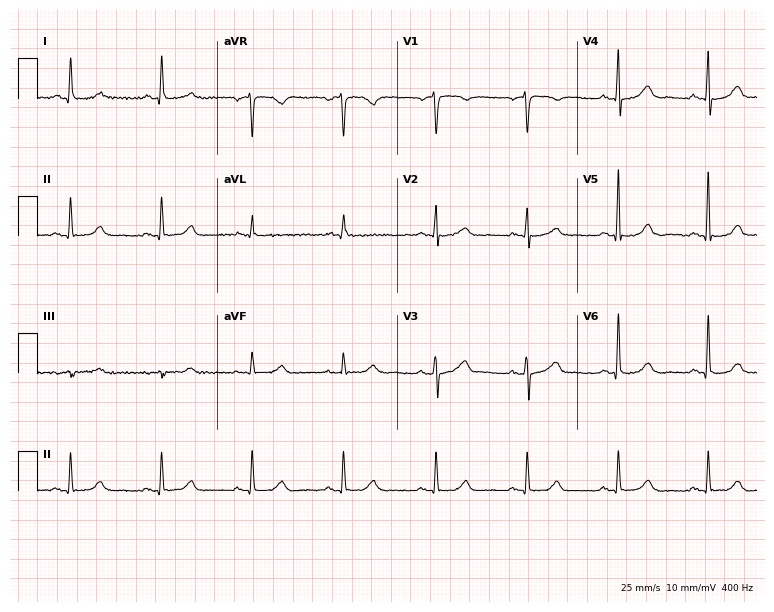
Standard 12-lead ECG recorded from a male patient, 76 years old (7.3-second recording at 400 Hz). None of these six findings is recorded: first-degree AV block, right bundle branch block (RBBB), left bundle branch block (LBBB), sinus bradycardia, atrial fibrillation (AF), sinus tachycardia.